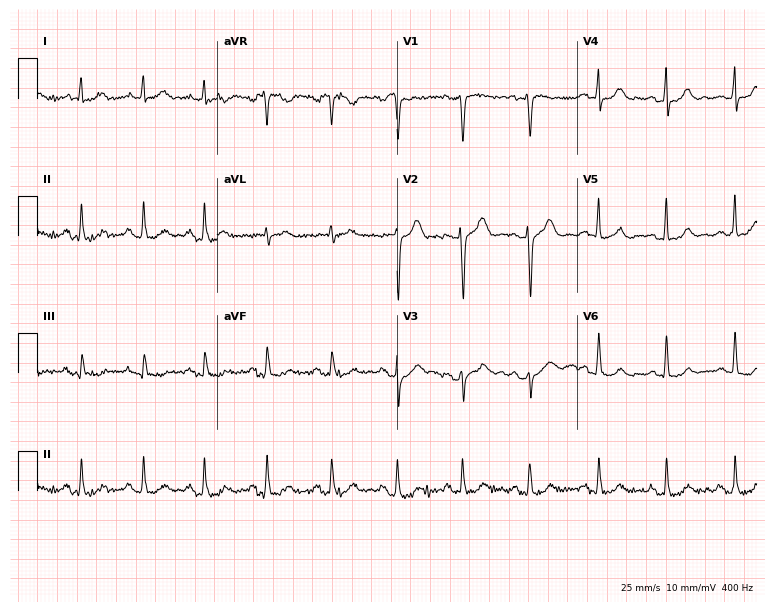
Standard 12-lead ECG recorded from a female patient, 56 years old (7.3-second recording at 400 Hz). None of these six findings is recorded: first-degree AV block, right bundle branch block (RBBB), left bundle branch block (LBBB), sinus bradycardia, atrial fibrillation (AF), sinus tachycardia. Findings outside these six are not listed.